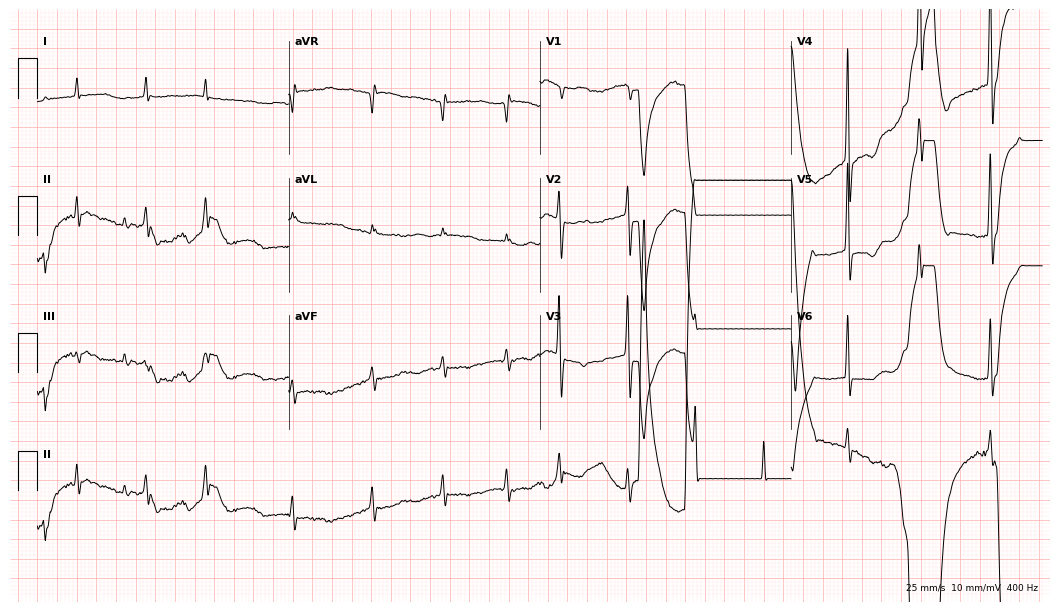
Standard 12-lead ECG recorded from an 86-year-old male patient (10.2-second recording at 400 Hz). None of these six findings is recorded: first-degree AV block, right bundle branch block (RBBB), left bundle branch block (LBBB), sinus bradycardia, atrial fibrillation (AF), sinus tachycardia. Other findings, if any, are not listed.